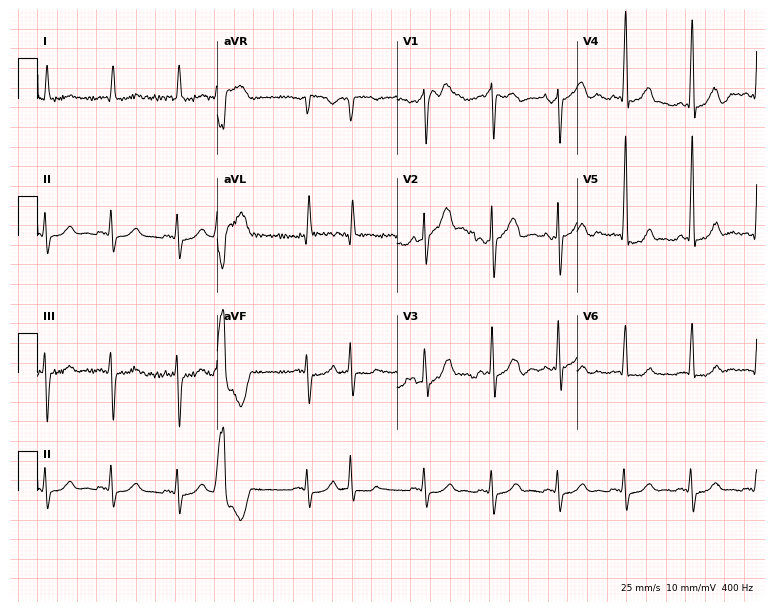
Standard 12-lead ECG recorded from a male, 77 years old. Read as a normal ECG.